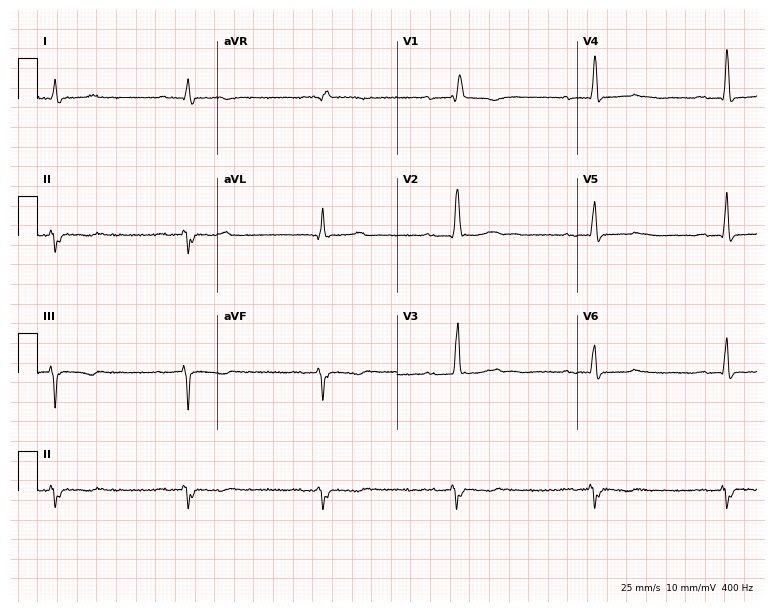
Resting 12-lead electrocardiogram. Patient: a female, 63 years old. None of these six findings is recorded: first-degree AV block, right bundle branch block, left bundle branch block, sinus bradycardia, atrial fibrillation, sinus tachycardia.